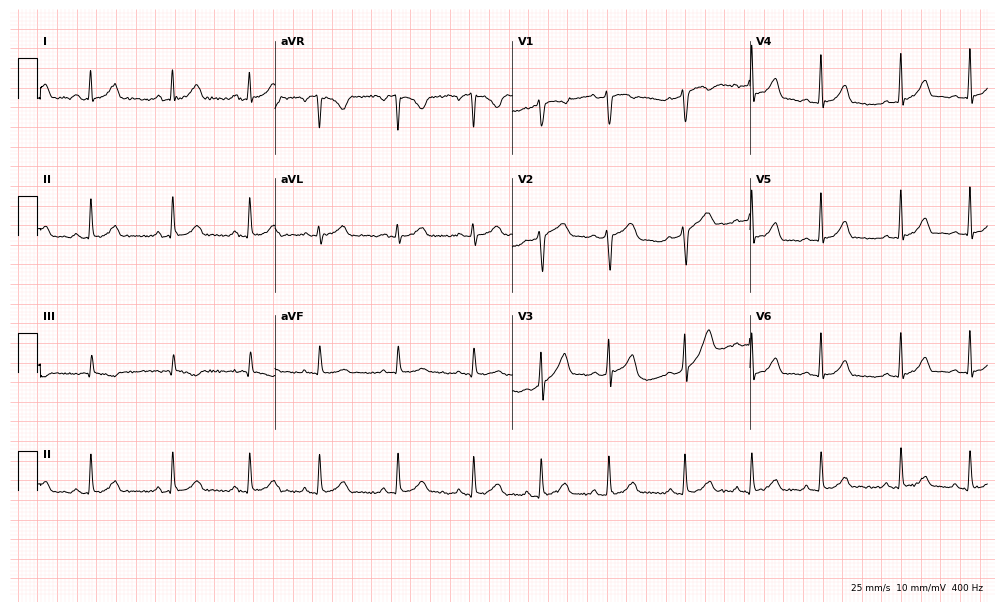
ECG — a female, 22 years old. Labelled as a normal ECG.